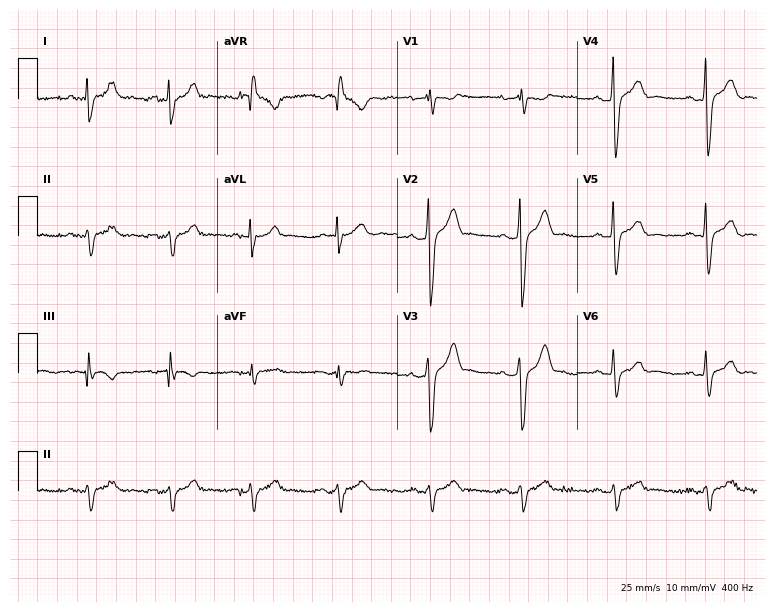
12-lead ECG (7.3-second recording at 400 Hz) from a 40-year-old male patient. Screened for six findings — first-degree AV block, right bundle branch block, left bundle branch block, sinus bradycardia, atrial fibrillation, sinus tachycardia — none is recorded. Other findings, if any, are not listed.